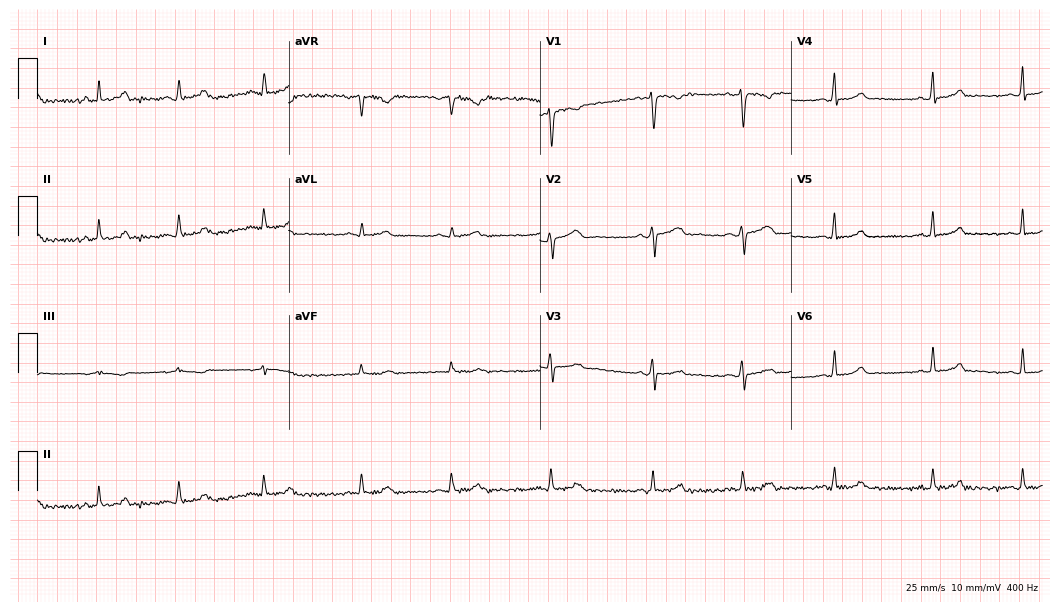
Standard 12-lead ECG recorded from a 25-year-old woman. Read as a normal ECG.